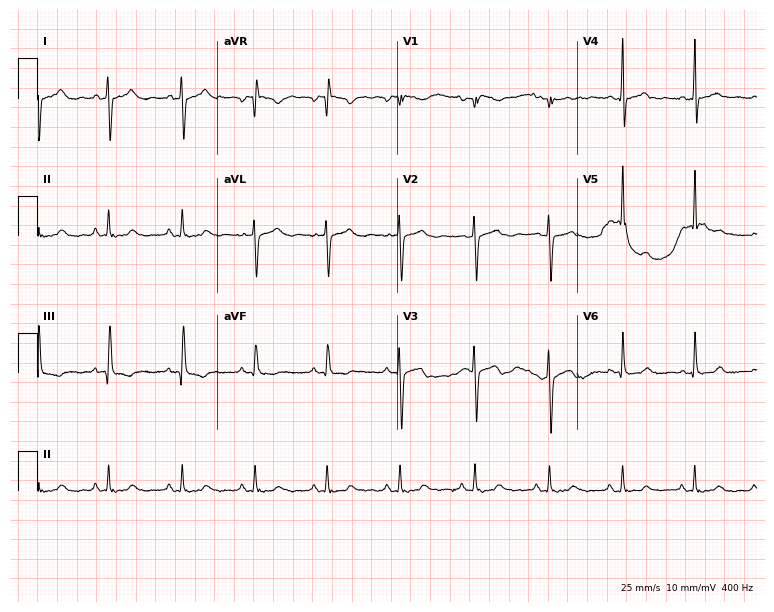
Standard 12-lead ECG recorded from a man, 17 years old (7.3-second recording at 400 Hz). None of these six findings is recorded: first-degree AV block, right bundle branch block, left bundle branch block, sinus bradycardia, atrial fibrillation, sinus tachycardia. Findings outside these six are not listed.